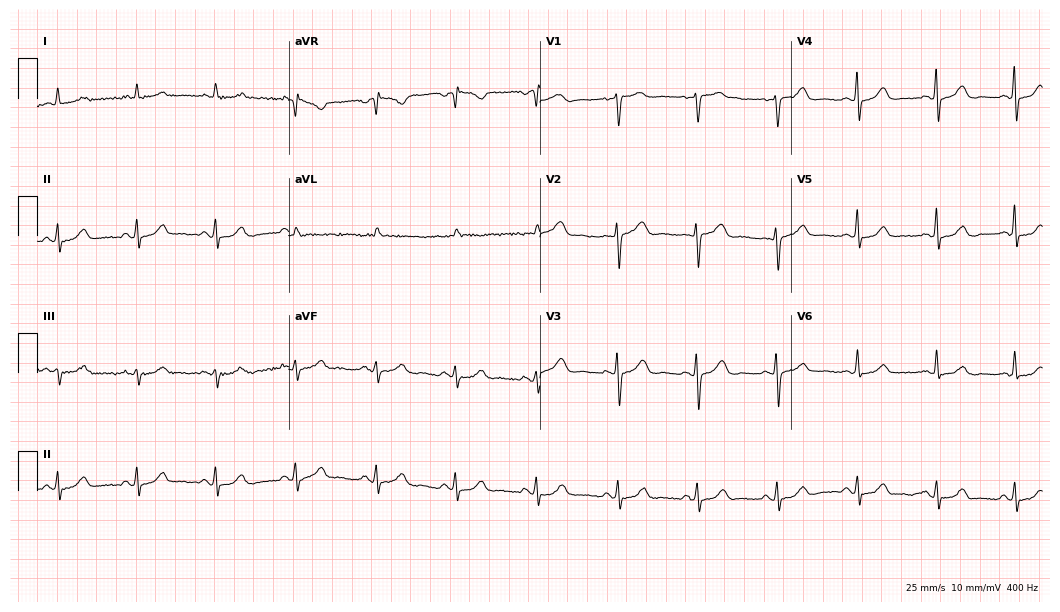
12-lead ECG (10.2-second recording at 400 Hz) from a female patient, 62 years old. Labelled as a normal ECG.